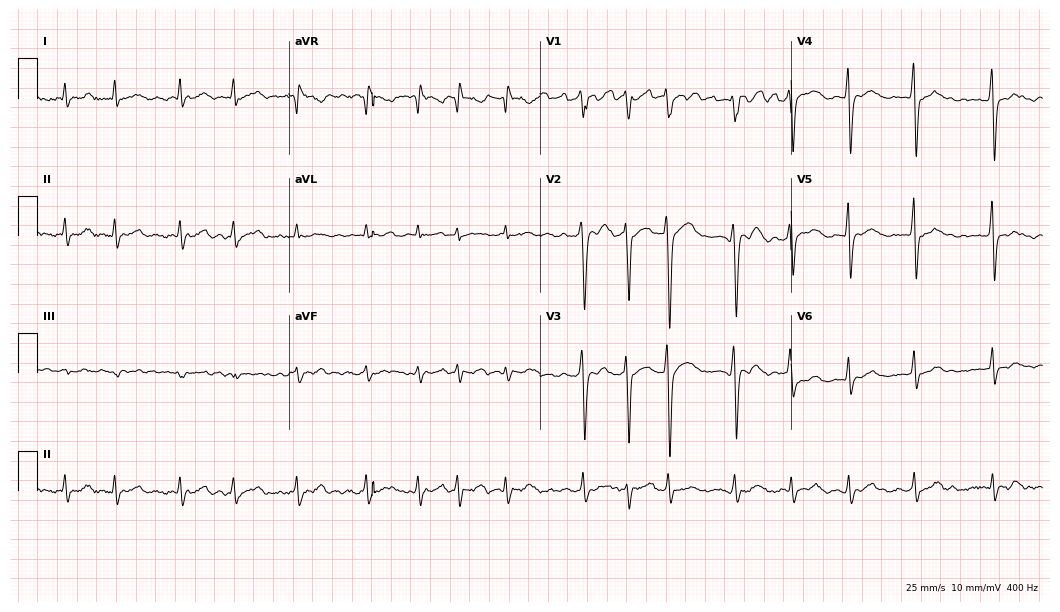
Electrocardiogram, a 38-year-old male. Interpretation includes atrial fibrillation.